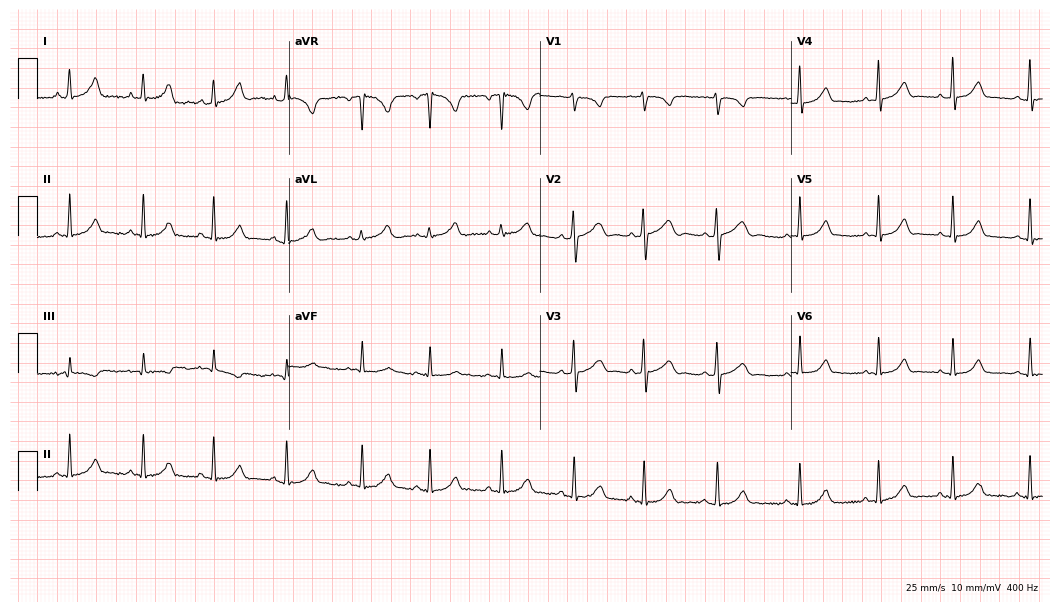
12-lead ECG from a woman, 19 years old. Recorded interpretation: within normal limits.